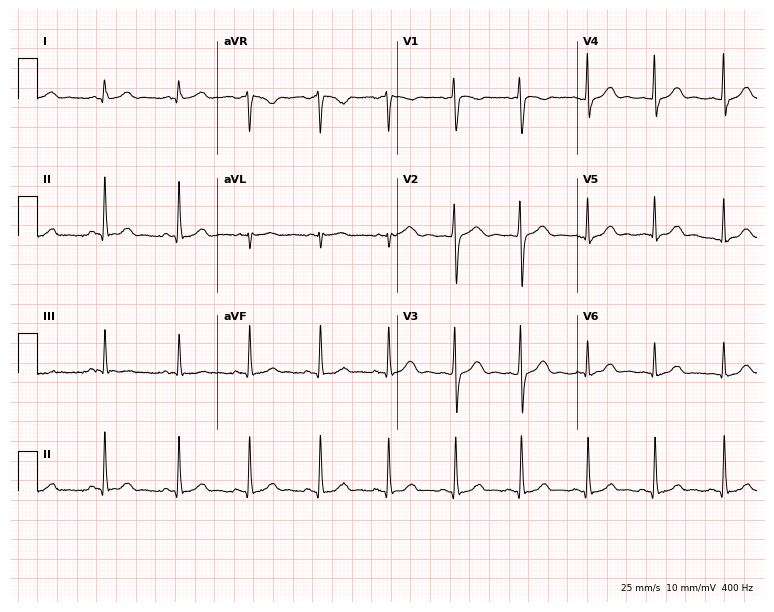
Electrocardiogram (7.3-second recording at 400 Hz), a female patient, 23 years old. Overall reading on record: normal ECG.